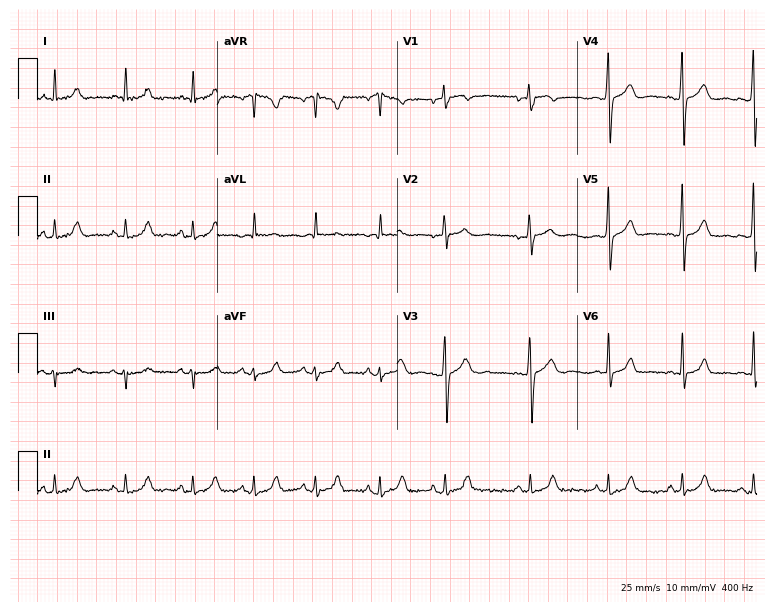
12-lead ECG (7.3-second recording at 400 Hz) from a male patient, 33 years old. Screened for six findings — first-degree AV block, right bundle branch block, left bundle branch block, sinus bradycardia, atrial fibrillation, sinus tachycardia — none is recorded.